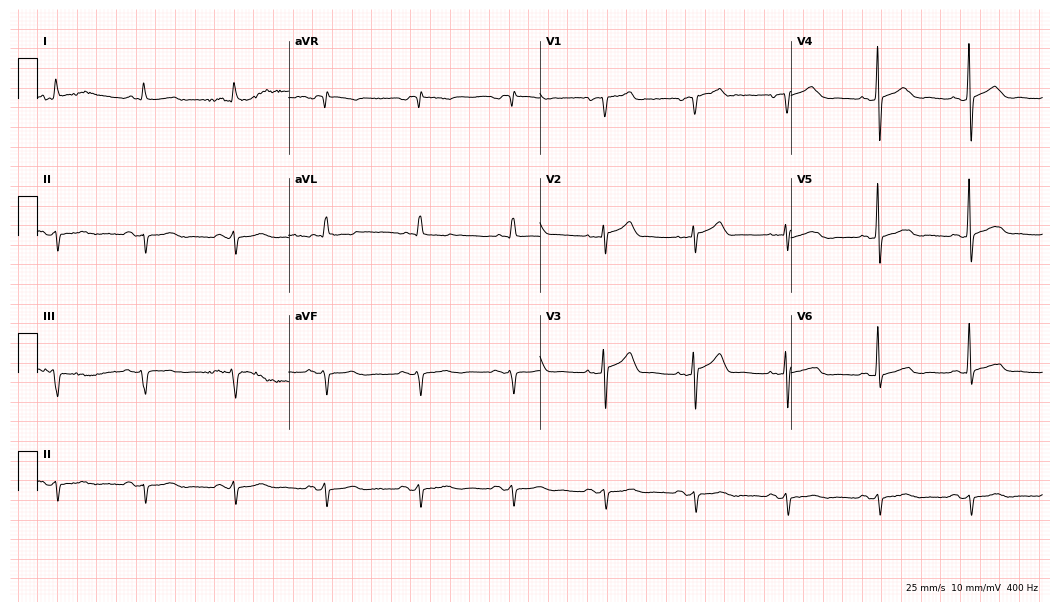
Resting 12-lead electrocardiogram (10.2-second recording at 400 Hz). Patient: a male, 64 years old. None of these six findings is recorded: first-degree AV block, right bundle branch block, left bundle branch block, sinus bradycardia, atrial fibrillation, sinus tachycardia.